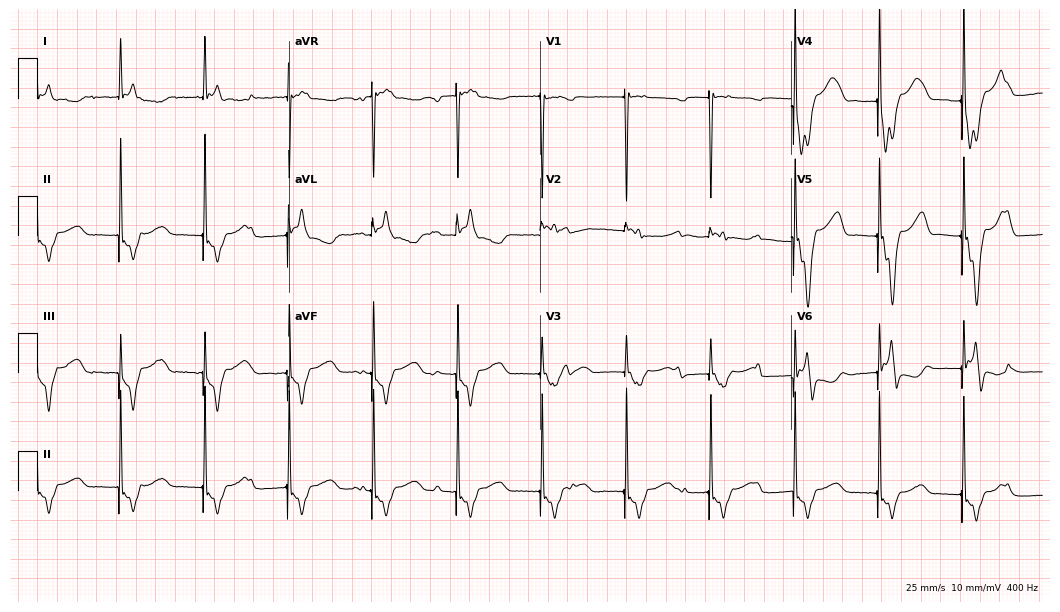
Electrocardiogram, a male patient, 73 years old. Of the six screened findings (first-degree AV block, right bundle branch block (RBBB), left bundle branch block (LBBB), sinus bradycardia, atrial fibrillation (AF), sinus tachycardia), none is recorded. Findings outside these six are not listed.